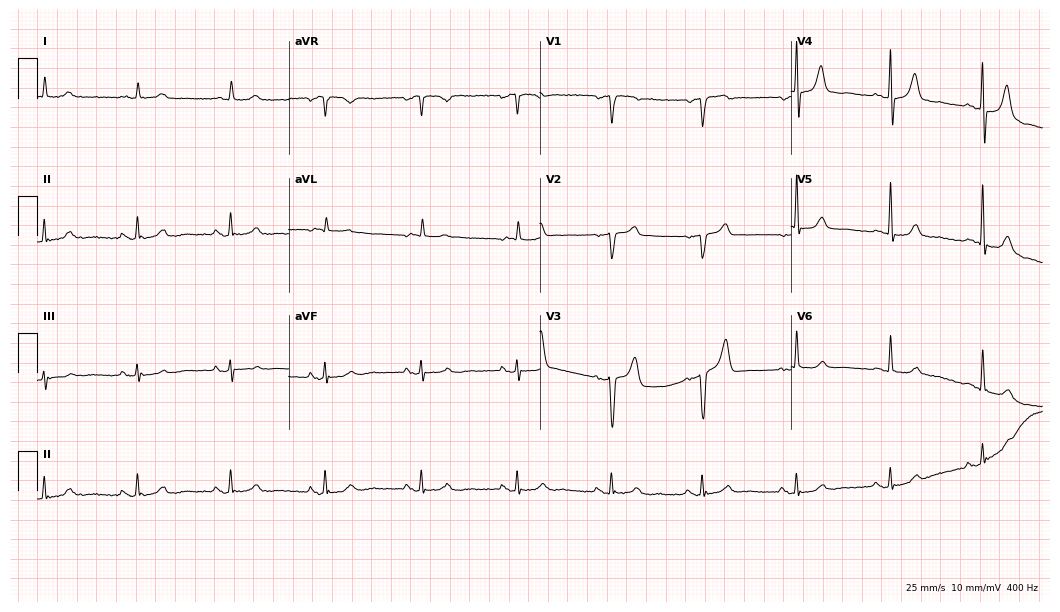
12-lead ECG from a 71-year-old male patient (10.2-second recording at 400 Hz). Recorded interpretation: within normal limits.